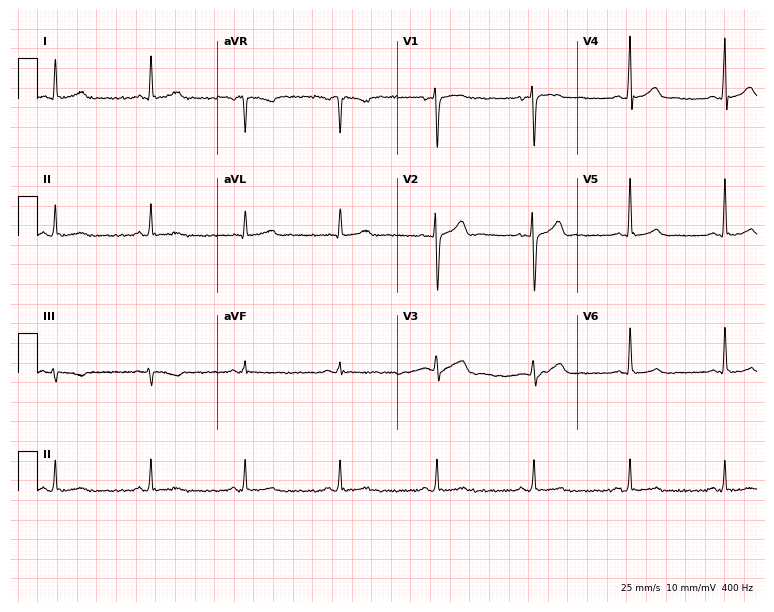
12-lead ECG from a male, 41 years old. Screened for six findings — first-degree AV block, right bundle branch block (RBBB), left bundle branch block (LBBB), sinus bradycardia, atrial fibrillation (AF), sinus tachycardia — none is recorded. Only these six findings were labelled.